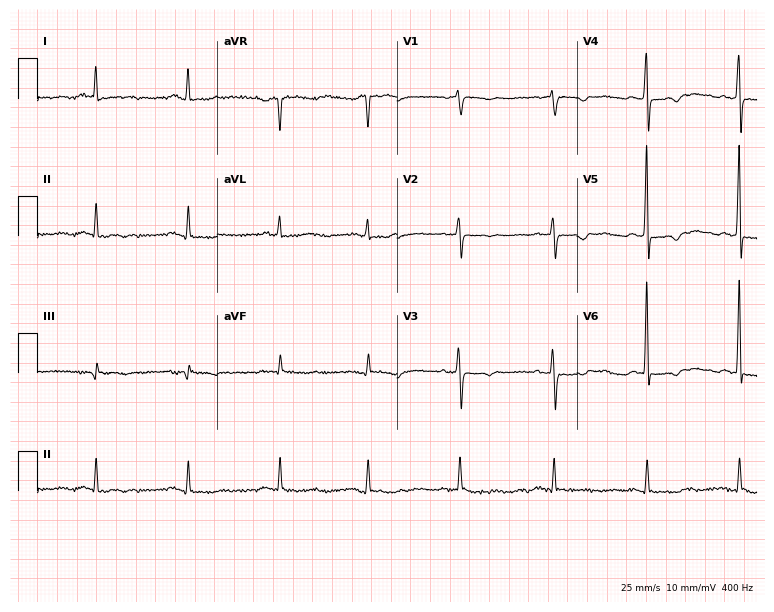
Standard 12-lead ECG recorded from an 82-year-old woman. None of these six findings is recorded: first-degree AV block, right bundle branch block (RBBB), left bundle branch block (LBBB), sinus bradycardia, atrial fibrillation (AF), sinus tachycardia. Other findings, if any, are not listed.